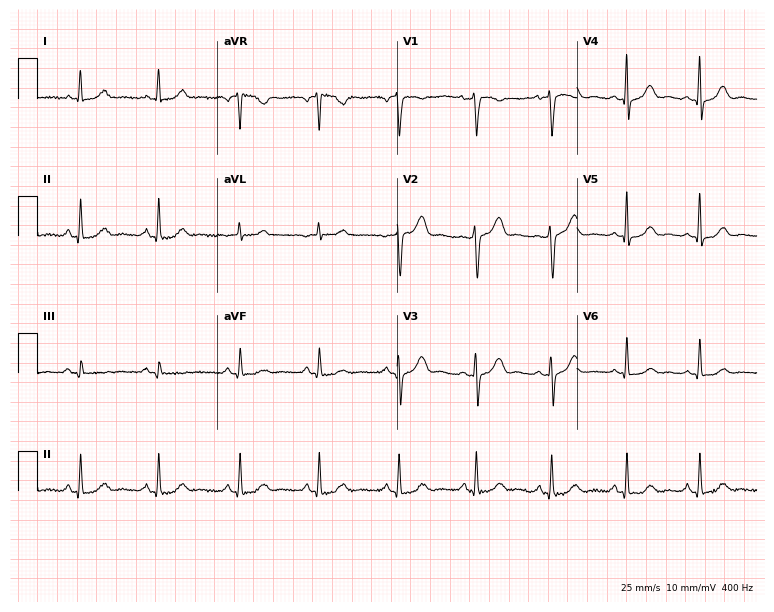
Electrocardiogram, a woman, 50 years old. Overall reading on record: normal ECG.